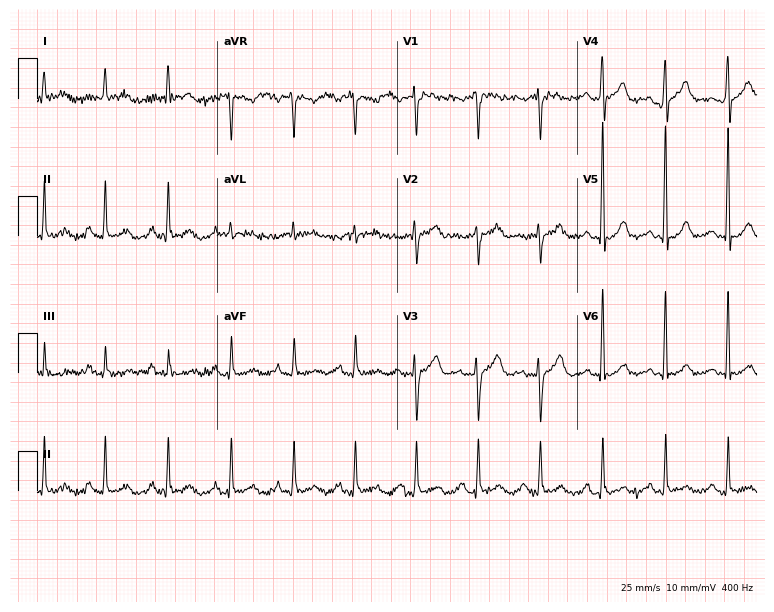
12-lead ECG from a female patient, 48 years old. Labelled as a normal ECG.